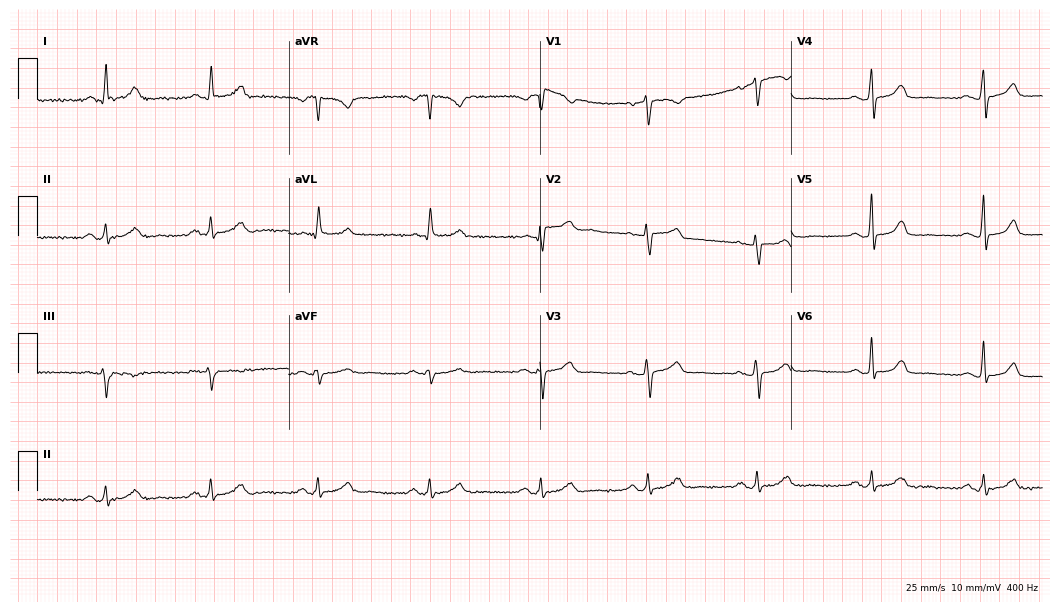
Resting 12-lead electrocardiogram. Patient: a female, 60 years old. Read as a normal ECG.